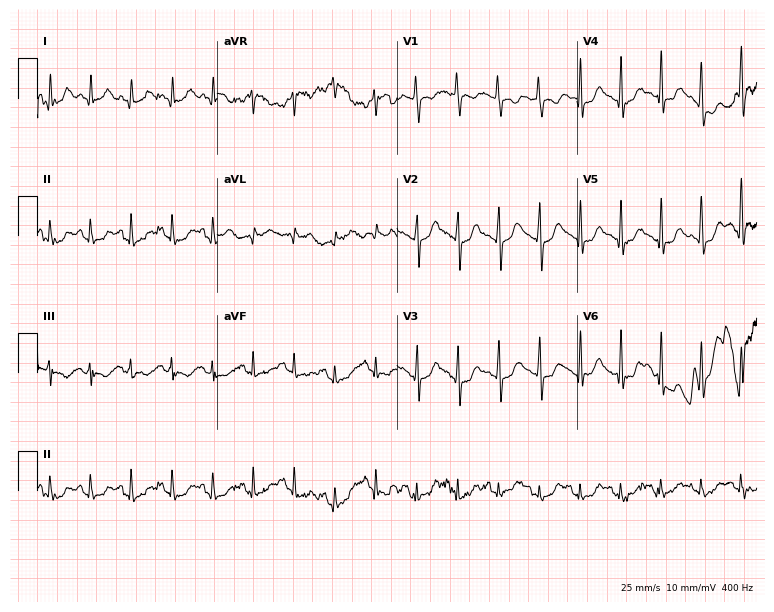
12-lead ECG (7.3-second recording at 400 Hz) from a 19-year-old woman. Screened for six findings — first-degree AV block, right bundle branch block, left bundle branch block, sinus bradycardia, atrial fibrillation, sinus tachycardia — none is recorded. Other findings, if any, are not listed.